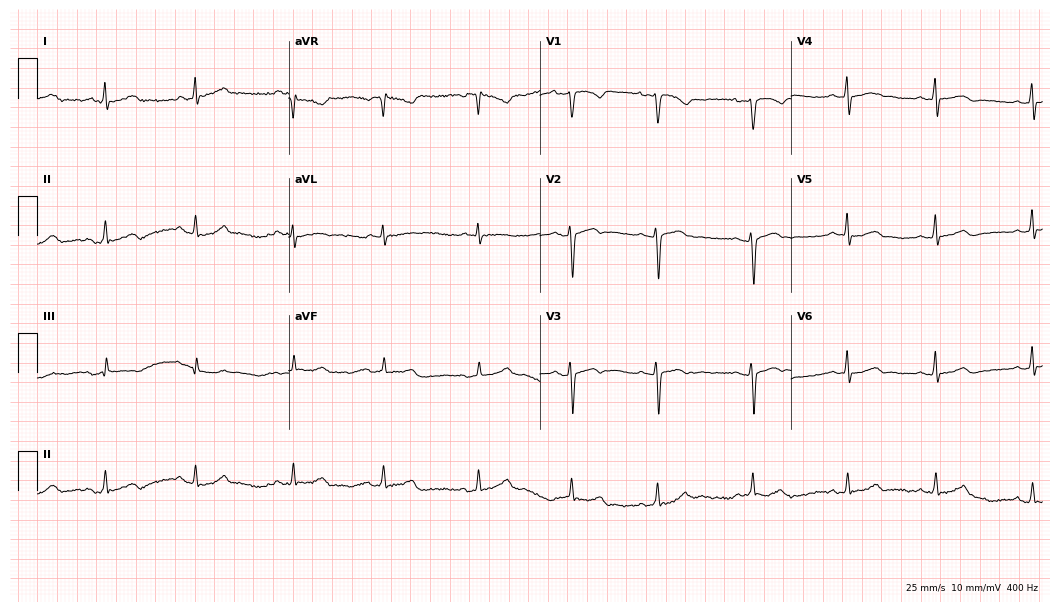
12-lead ECG (10.2-second recording at 400 Hz) from a 33-year-old female. Labelled as a normal ECG.